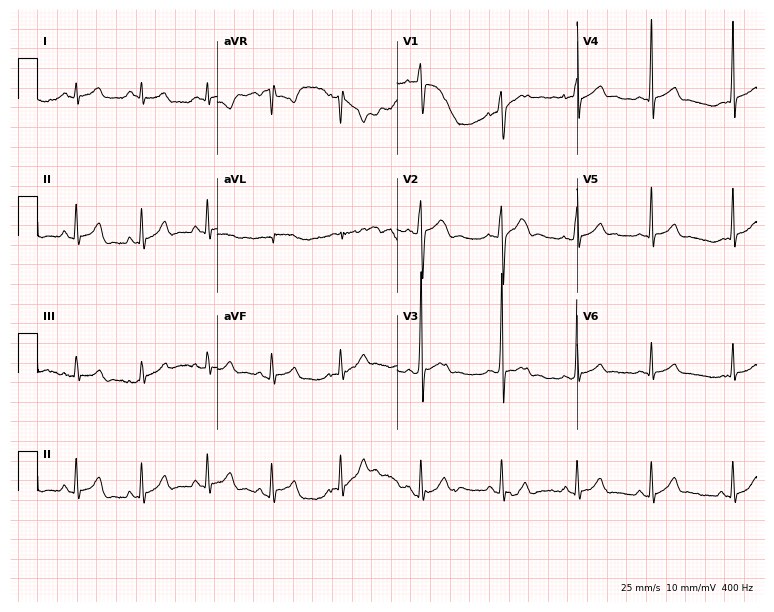
Standard 12-lead ECG recorded from an 18-year-old male (7.3-second recording at 400 Hz). None of these six findings is recorded: first-degree AV block, right bundle branch block, left bundle branch block, sinus bradycardia, atrial fibrillation, sinus tachycardia.